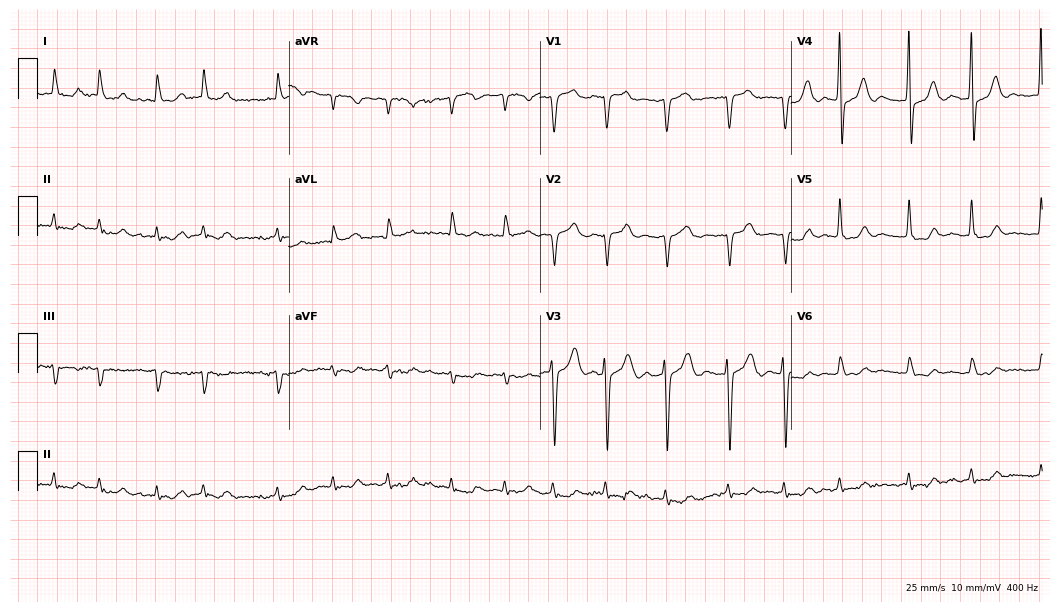
Electrocardiogram, a man, 79 years old. Interpretation includes atrial fibrillation.